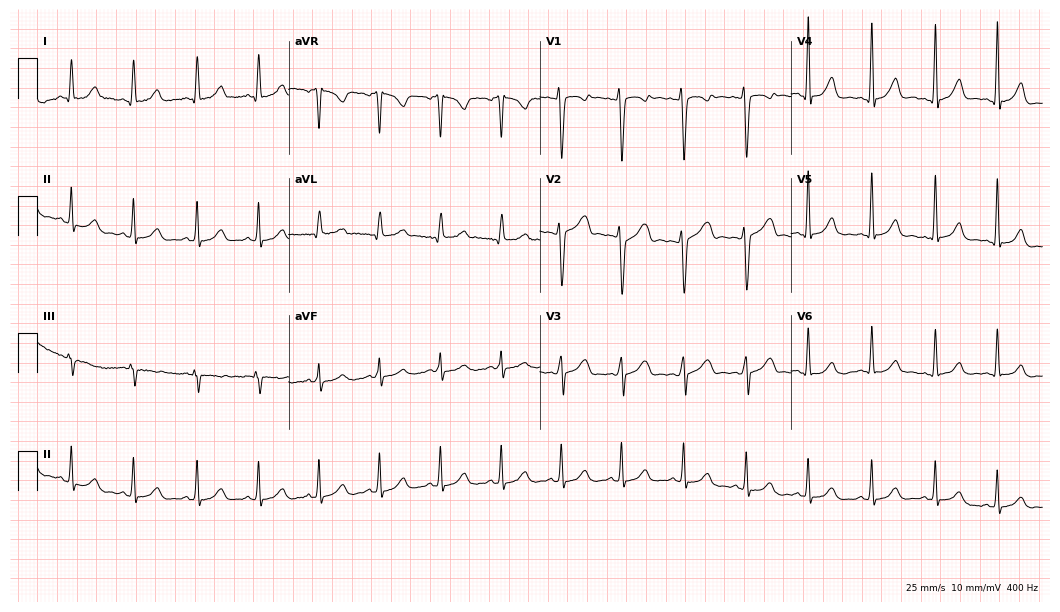
ECG — a female, 36 years old. Labelled as a normal ECG.